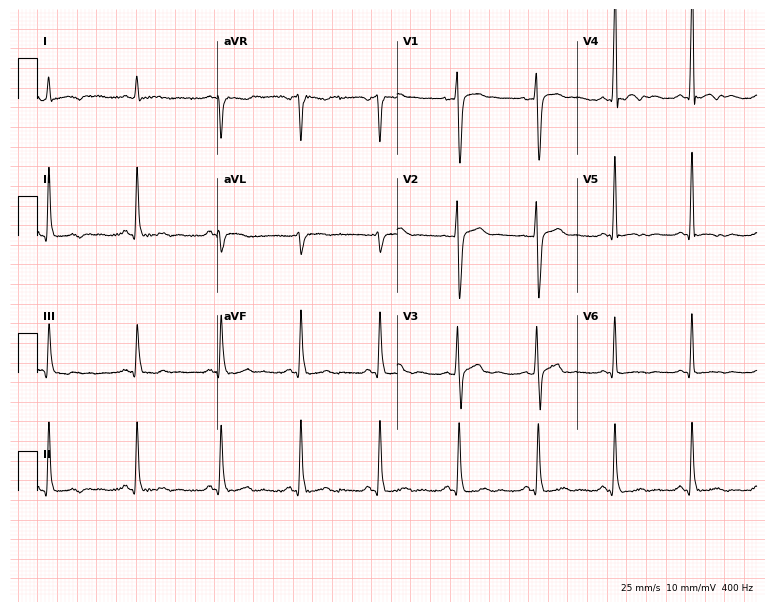
ECG — a 31-year-old man. Screened for six findings — first-degree AV block, right bundle branch block, left bundle branch block, sinus bradycardia, atrial fibrillation, sinus tachycardia — none is recorded. Findings outside these six are not listed.